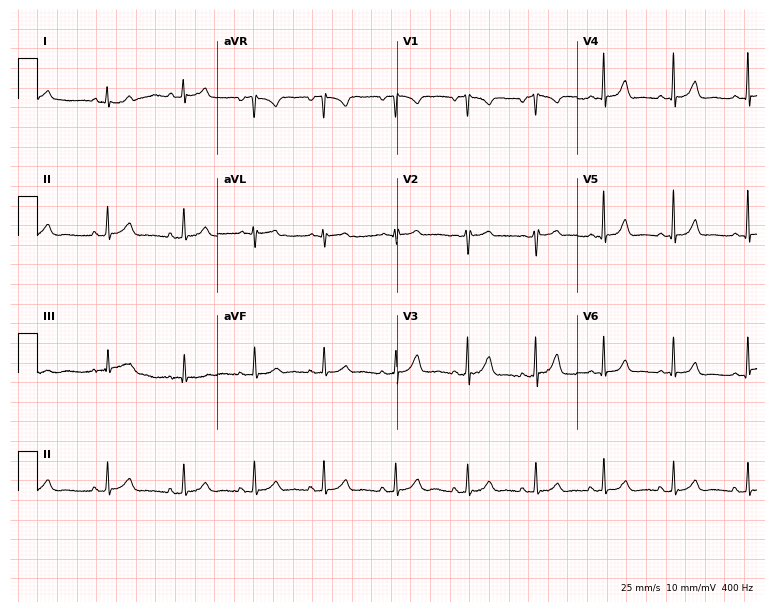
Resting 12-lead electrocardiogram. Patient: an 18-year-old female. Read as a normal ECG.